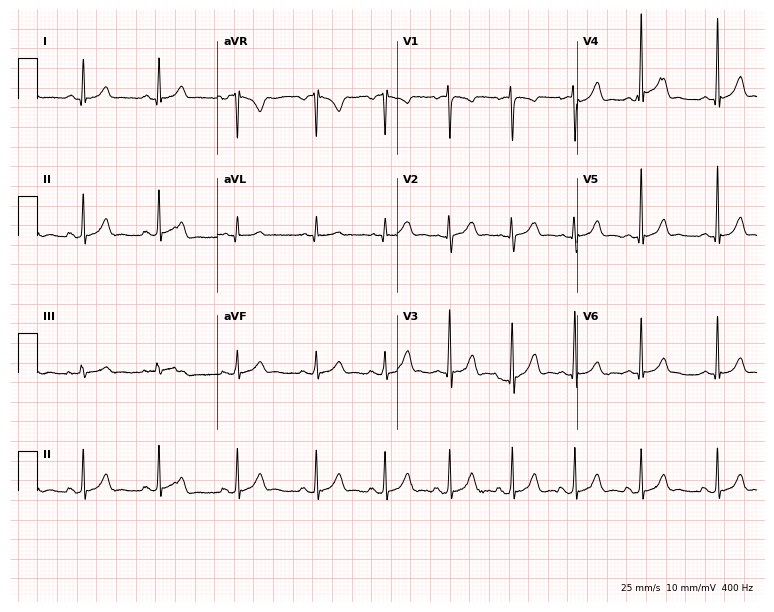
Standard 12-lead ECG recorded from a 19-year-old female patient (7.3-second recording at 400 Hz). Read as a normal ECG.